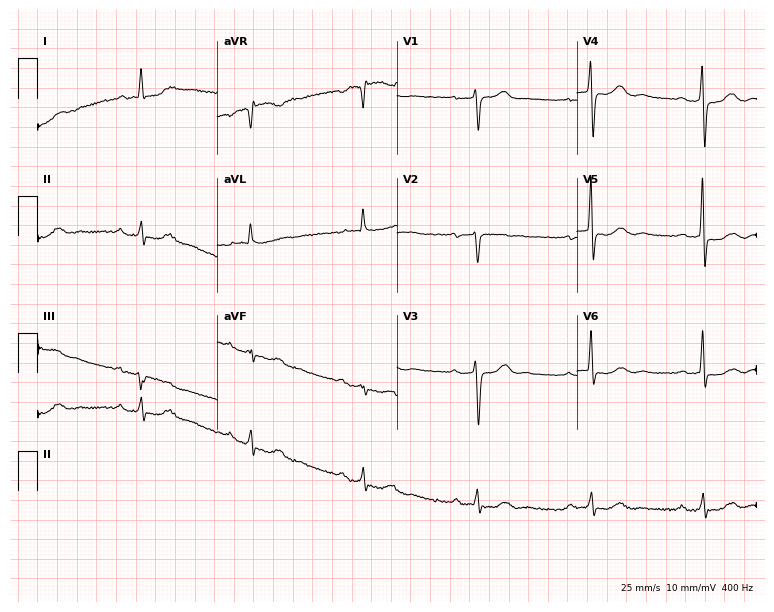
Electrocardiogram, a female patient, 67 years old. Of the six screened findings (first-degree AV block, right bundle branch block, left bundle branch block, sinus bradycardia, atrial fibrillation, sinus tachycardia), none is recorded.